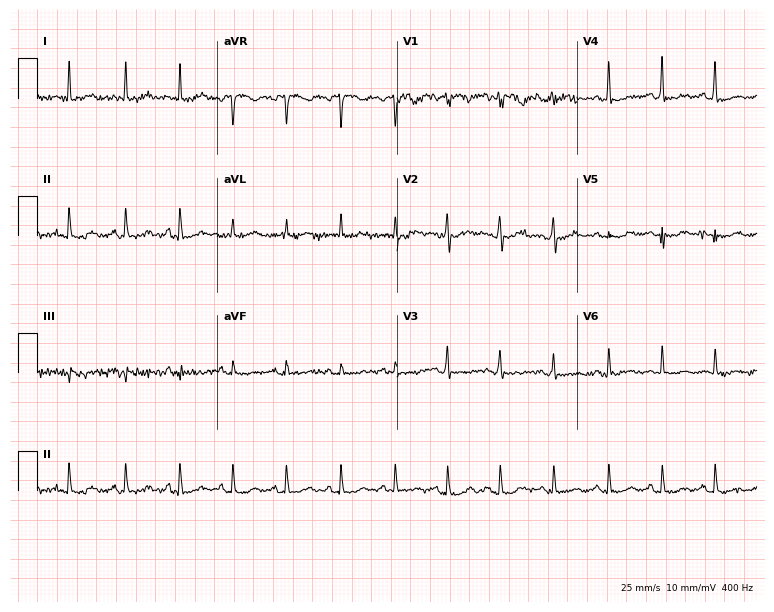
12-lead ECG from a female, 32 years old (7.3-second recording at 400 Hz). No first-degree AV block, right bundle branch block, left bundle branch block, sinus bradycardia, atrial fibrillation or sinus tachycardia recorded for this tracing. Findings outside these six are not listed.